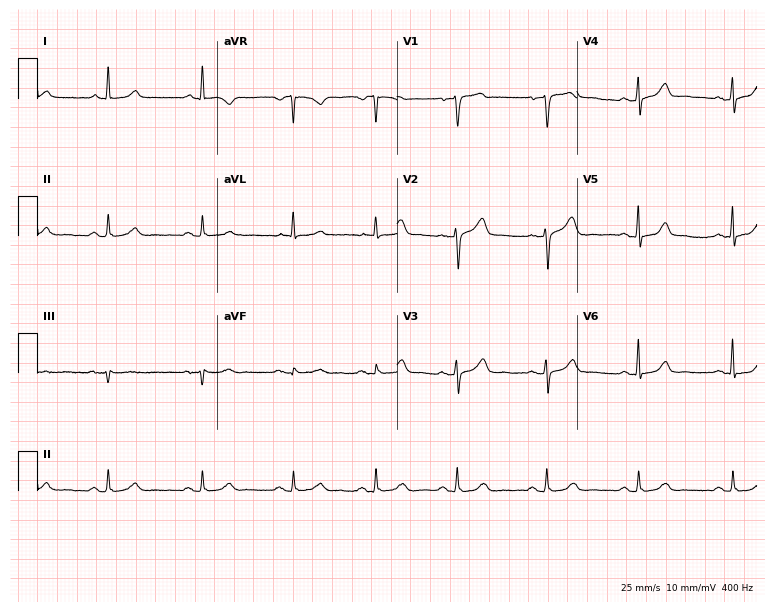
Standard 12-lead ECG recorded from a male patient, 56 years old (7.3-second recording at 400 Hz). Read as a normal ECG.